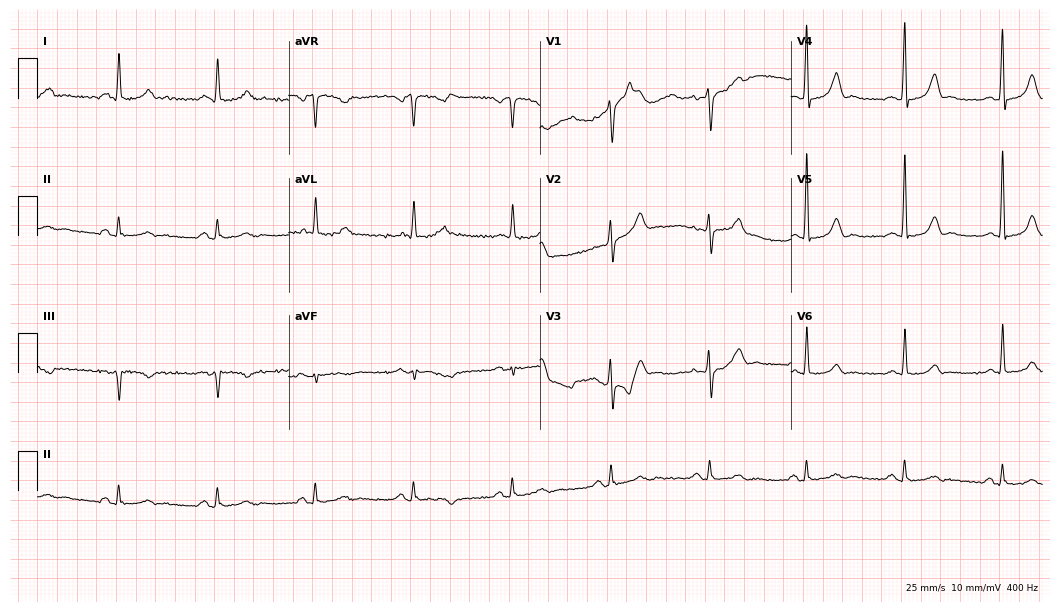
Standard 12-lead ECG recorded from a male patient, 70 years old. Read as a normal ECG.